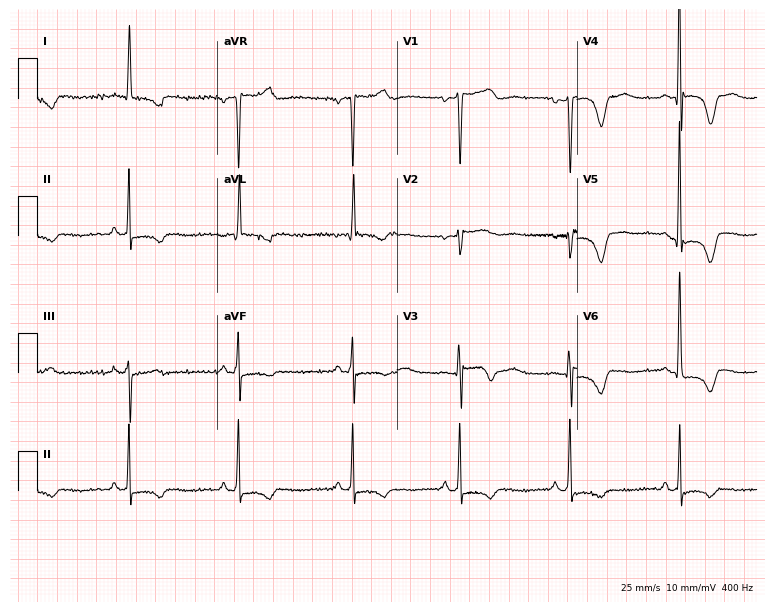
12-lead ECG (7.3-second recording at 400 Hz) from a woman, 59 years old. Screened for six findings — first-degree AV block, right bundle branch block, left bundle branch block, sinus bradycardia, atrial fibrillation, sinus tachycardia — none is recorded.